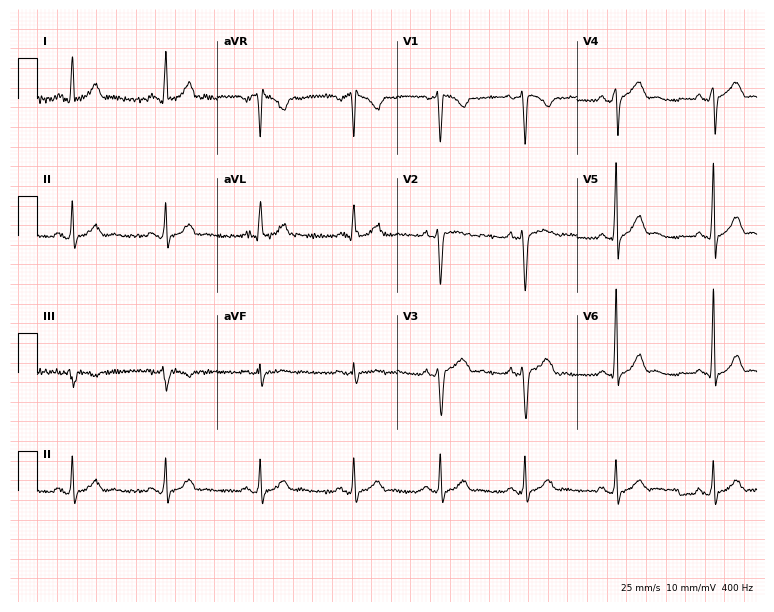
12-lead ECG from a male, 32 years old. Recorded interpretation: within normal limits.